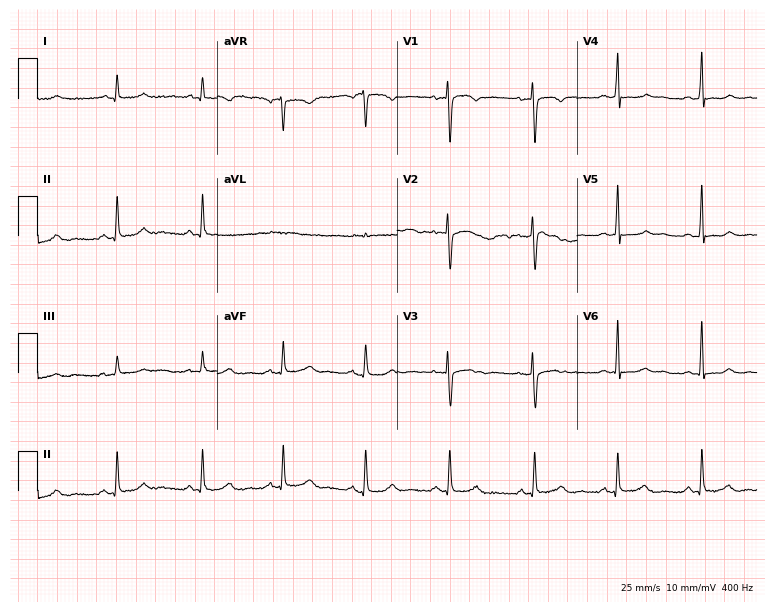
12-lead ECG (7.3-second recording at 400 Hz) from a female patient, 47 years old. Labelled as a normal ECG.